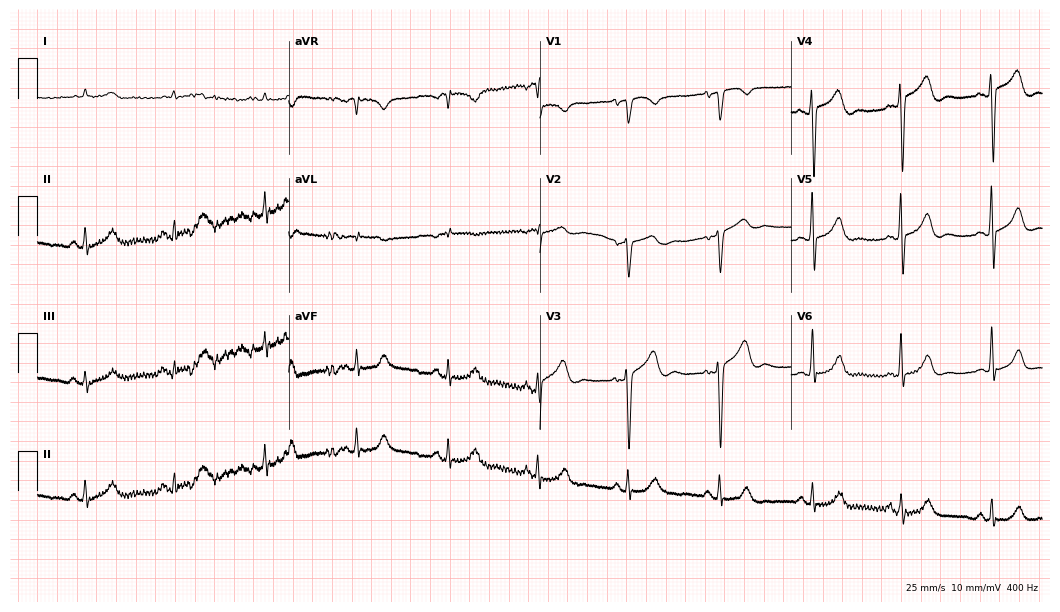
12-lead ECG from an 82-year-old man. Labelled as a normal ECG.